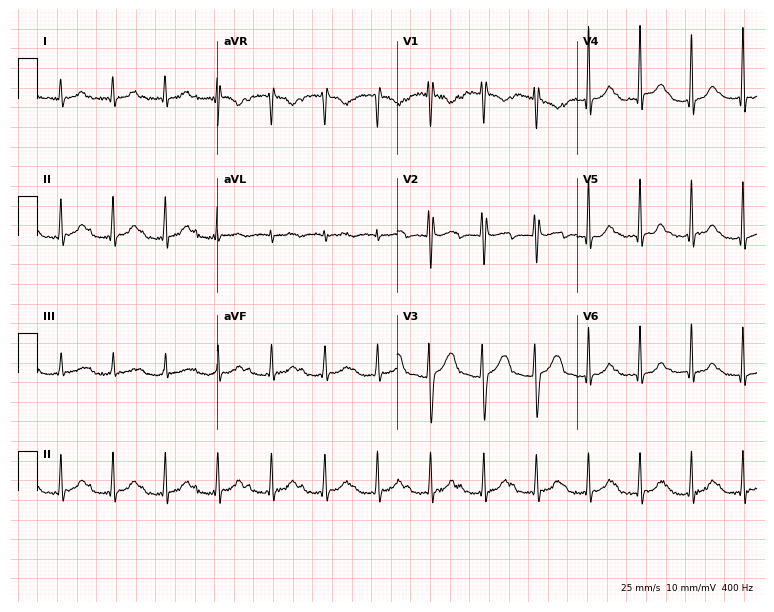
ECG (7.3-second recording at 400 Hz) — a 31-year-old female. Findings include first-degree AV block, sinus tachycardia (a sinus rate of 100 beats per minute or more).